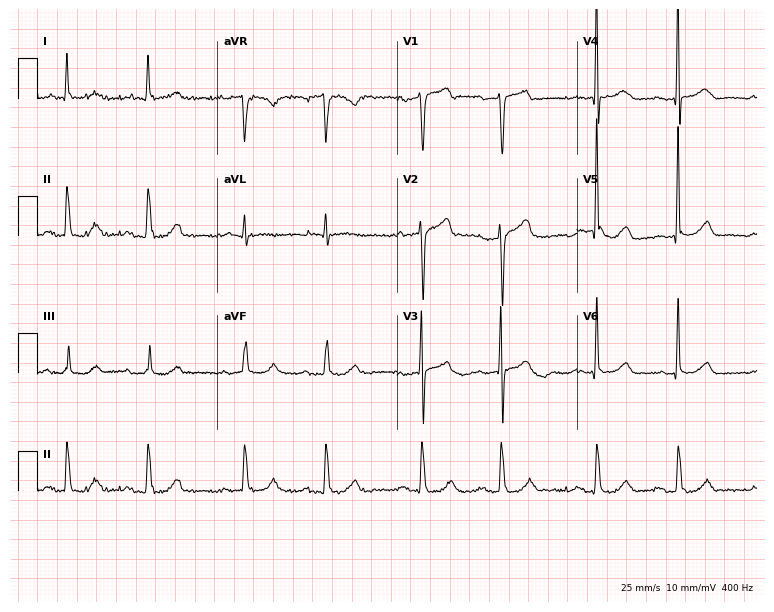
Electrocardiogram, a 79-year-old man. Of the six screened findings (first-degree AV block, right bundle branch block (RBBB), left bundle branch block (LBBB), sinus bradycardia, atrial fibrillation (AF), sinus tachycardia), none is recorded.